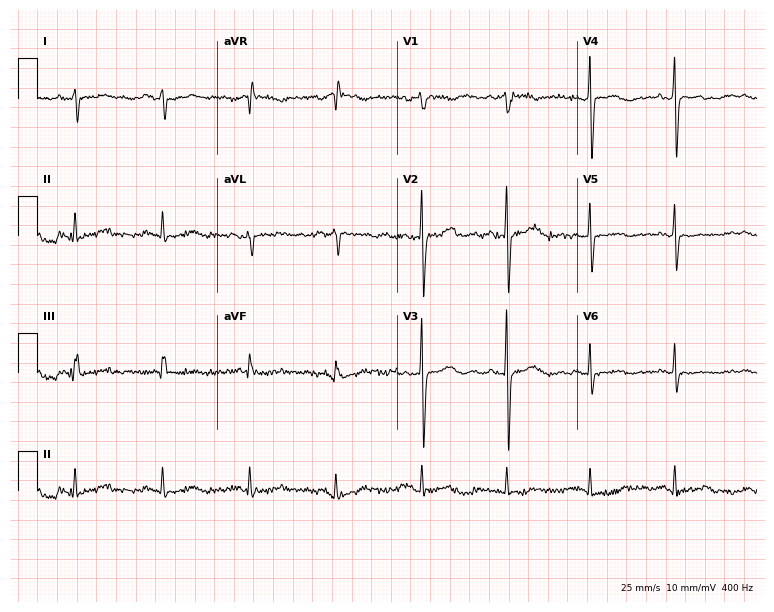
12-lead ECG (7.3-second recording at 400 Hz) from an 81-year-old woman. Screened for six findings — first-degree AV block, right bundle branch block, left bundle branch block, sinus bradycardia, atrial fibrillation, sinus tachycardia — none is recorded. Other findings, if any, are not listed.